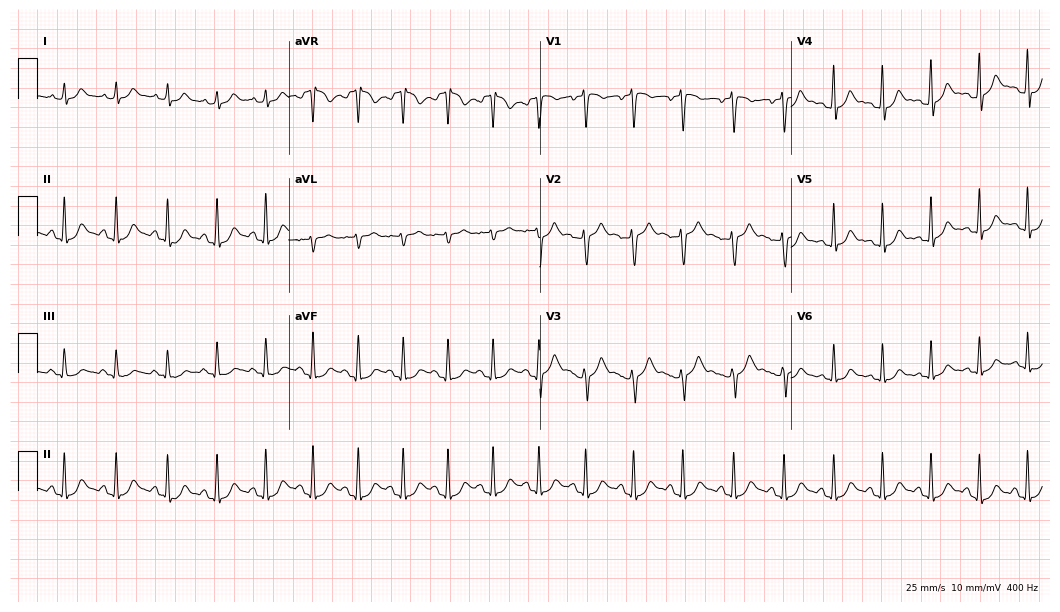
ECG — a female patient, 21 years old. Findings include sinus tachycardia (a sinus rate of 100 beats per minute or more).